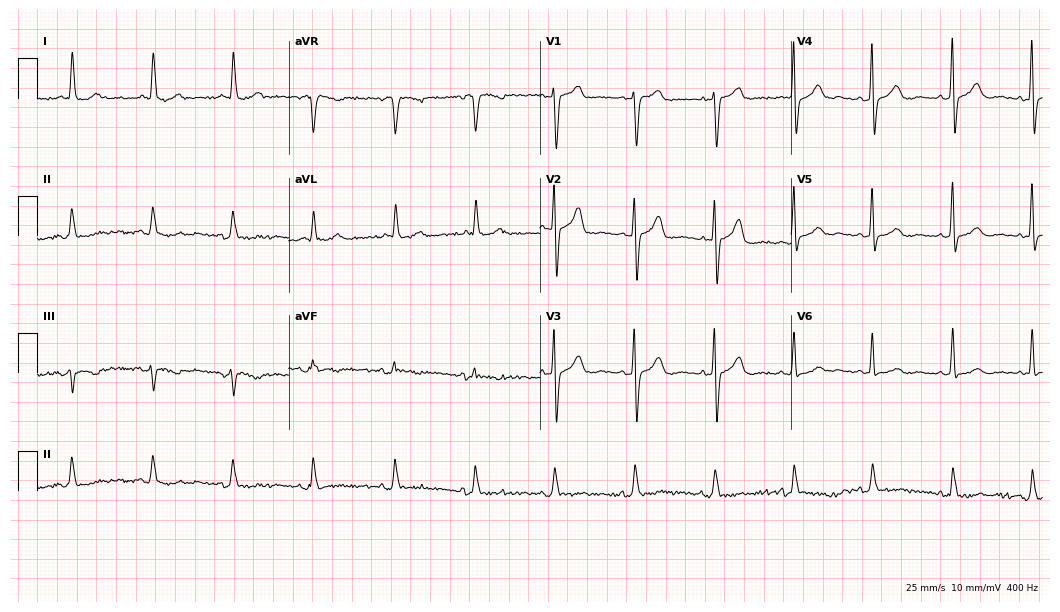
Resting 12-lead electrocardiogram. Patient: an 85-year-old female. Read as a normal ECG.